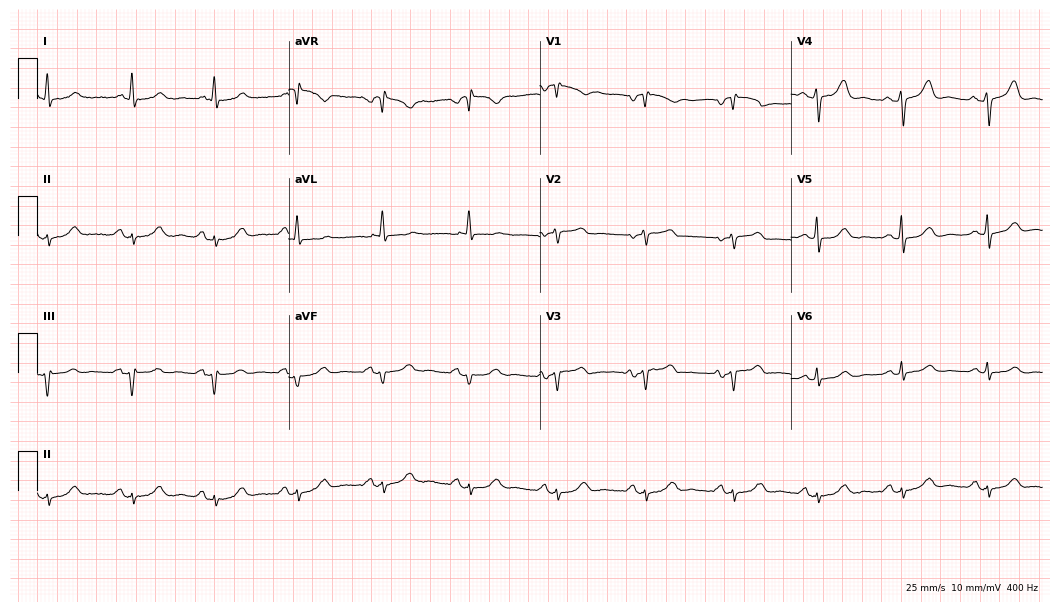
12-lead ECG from a 78-year-old woman. Screened for six findings — first-degree AV block, right bundle branch block, left bundle branch block, sinus bradycardia, atrial fibrillation, sinus tachycardia — none is recorded.